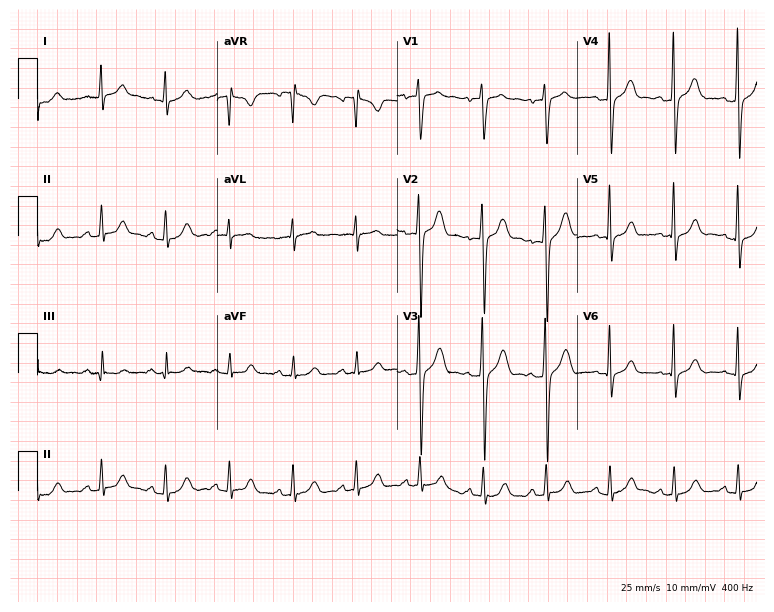
ECG — a 30-year-old male patient. Labelled as a normal ECG.